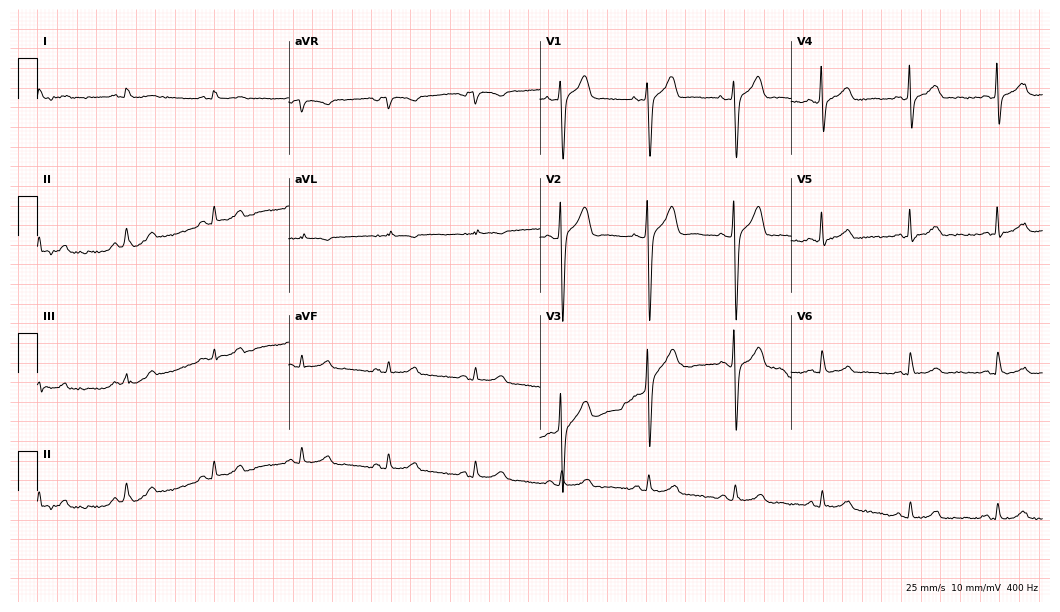
12-lead ECG from a 58-year-old male patient. Labelled as a normal ECG.